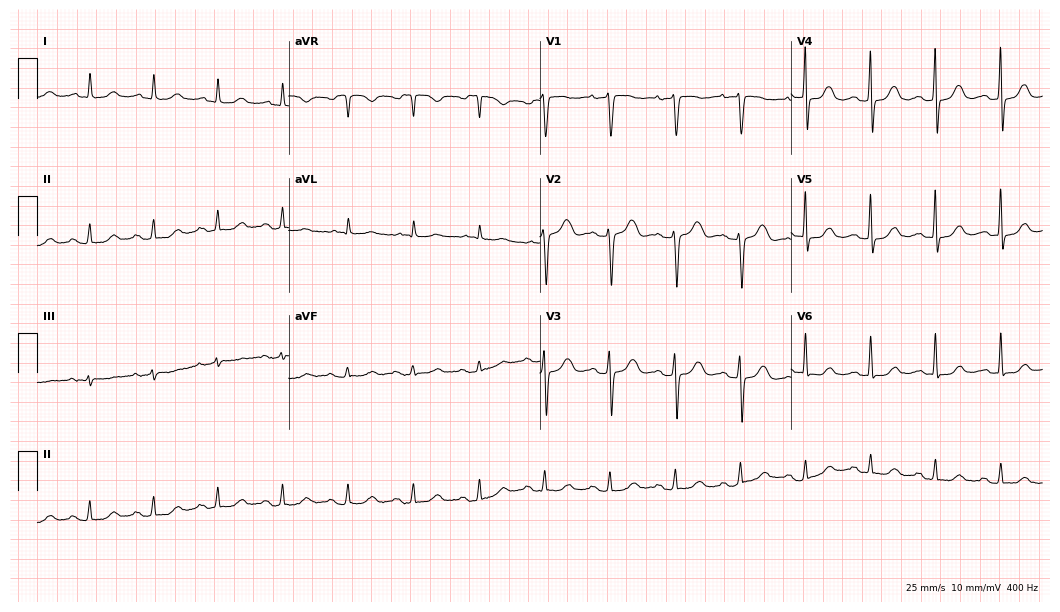
Standard 12-lead ECG recorded from a female, 73 years old (10.2-second recording at 400 Hz). Read as a normal ECG.